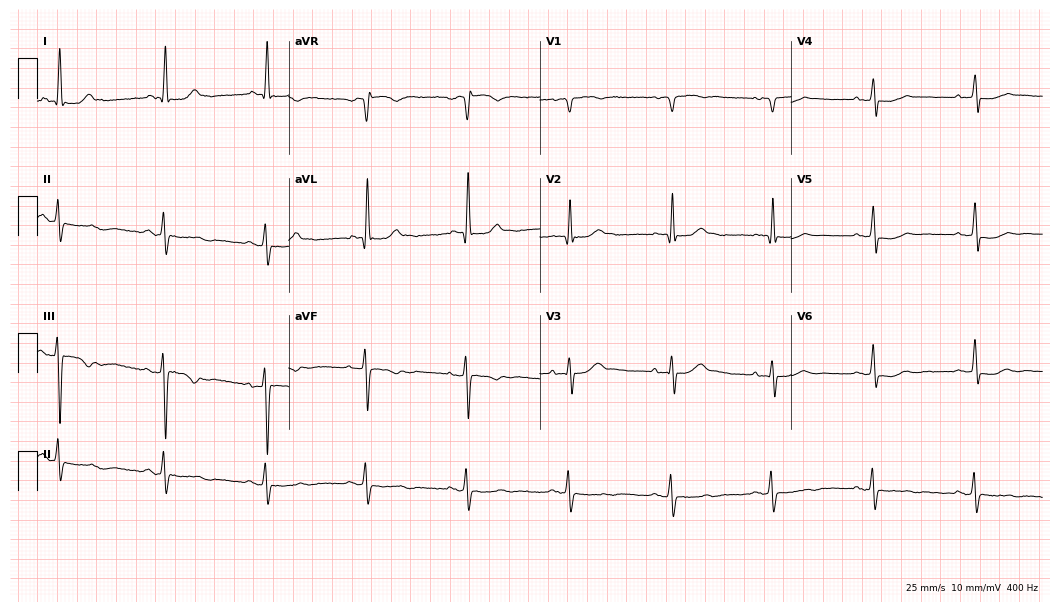
Standard 12-lead ECG recorded from a 69-year-old female. None of these six findings is recorded: first-degree AV block, right bundle branch block, left bundle branch block, sinus bradycardia, atrial fibrillation, sinus tachycardia. Findings outside these six are not listed.